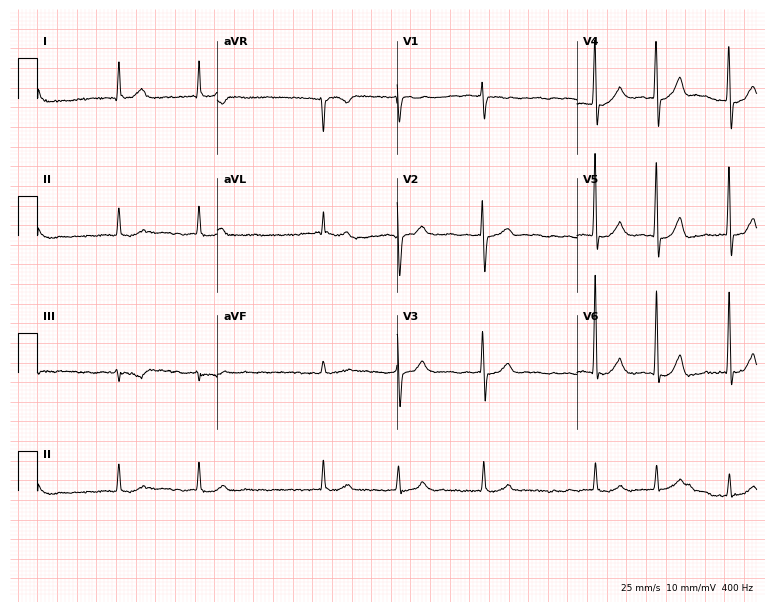
12-lead ECG (7.3-second recording at 400 Hz) from a woman, 87 years old. Findings include atrial fibrillation.